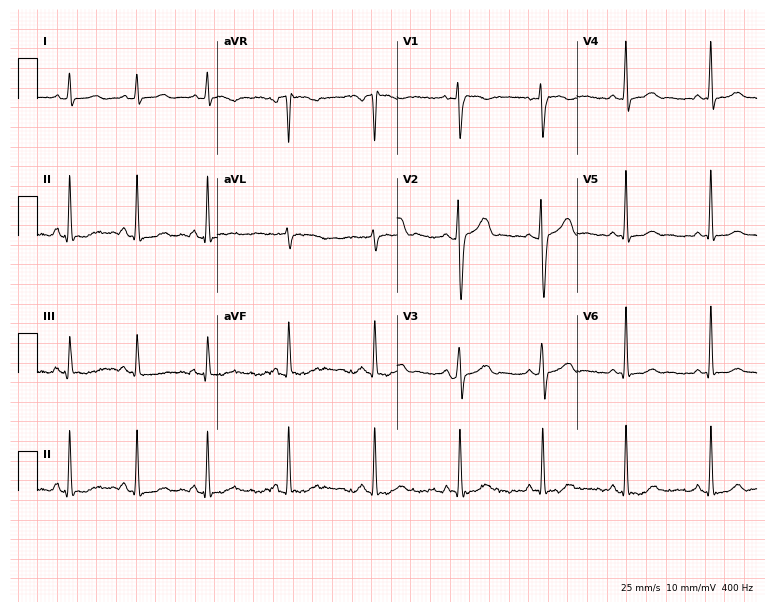
Electrocardiogram (7.3-second recording at 400 Hz), a female, 24 years old. Overall reading on record: normal ECG.